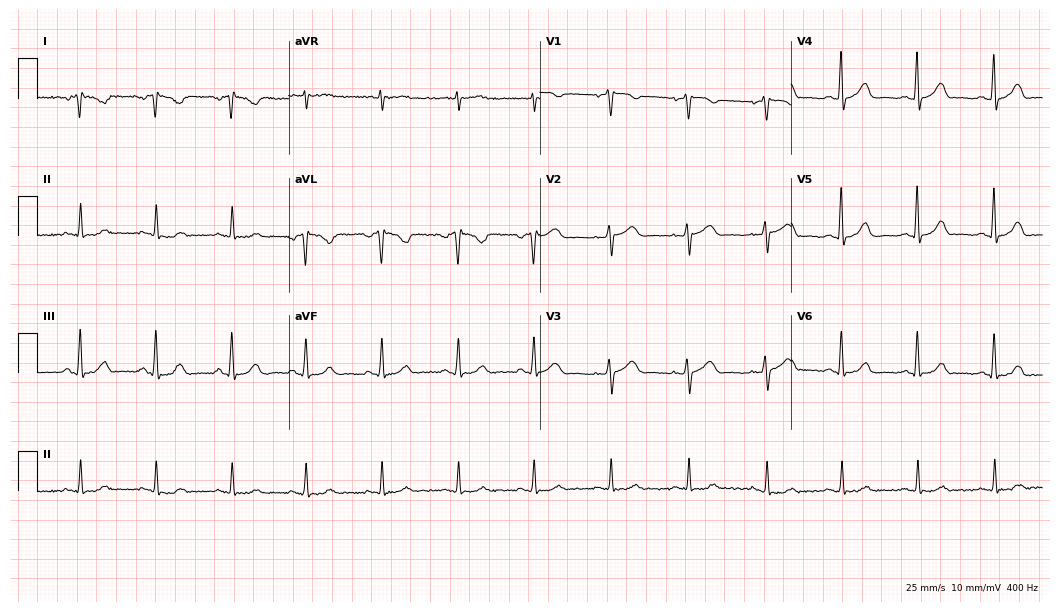
12-lead ECG from a woman, 38 years old. No first-degree AV block, right bundle branch block, left bundle branch block, sinus bradycardia, atrial fibrillation or sinus tachycardia recorded for this tracing.